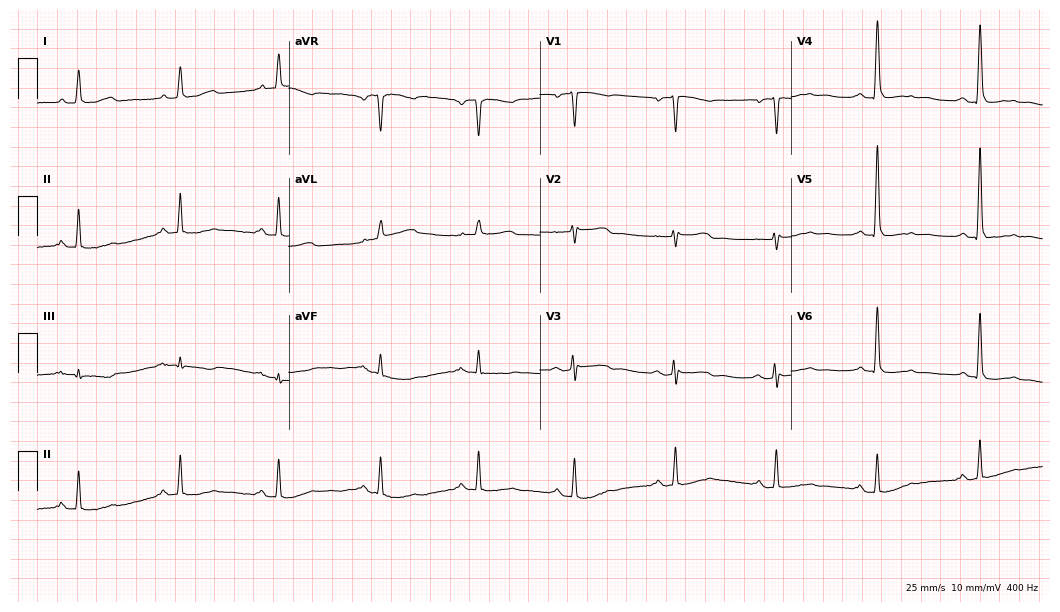
12-lead ECG from a 77-year-old woman (10.2-second recording at 400 Hz). No first-degree AV block, right bundle branch block, left bundle branch block, sinus bradycardia, atrial fibrillation or sinus tachycardia recorded for this tracing. Other findings, if any, are not listed.